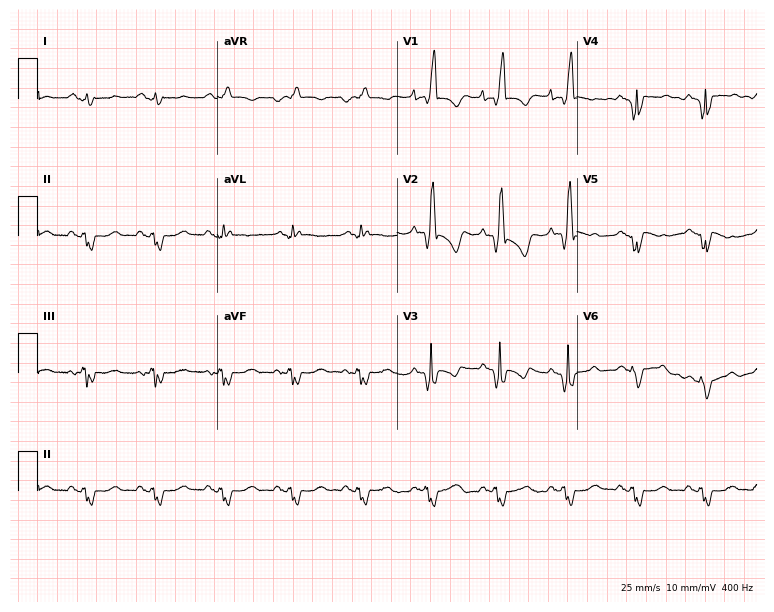
Electrocardiogram (7.3-second recording at 400 Hz), a man, 47 years old. Interpretation includes right bundle branch block.